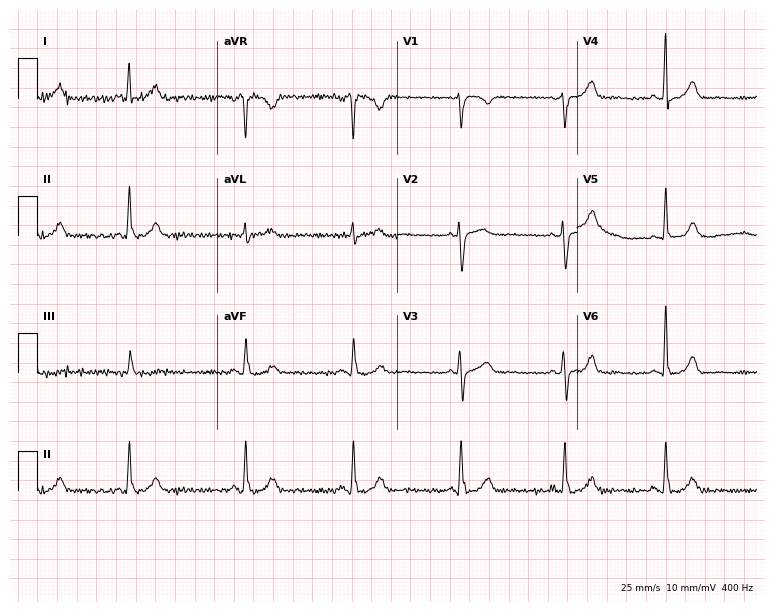
Standard 12-lead ECG recorded from a female, 53 years old (7.3-second recording at 400 Hz). Read as a normal ECG.